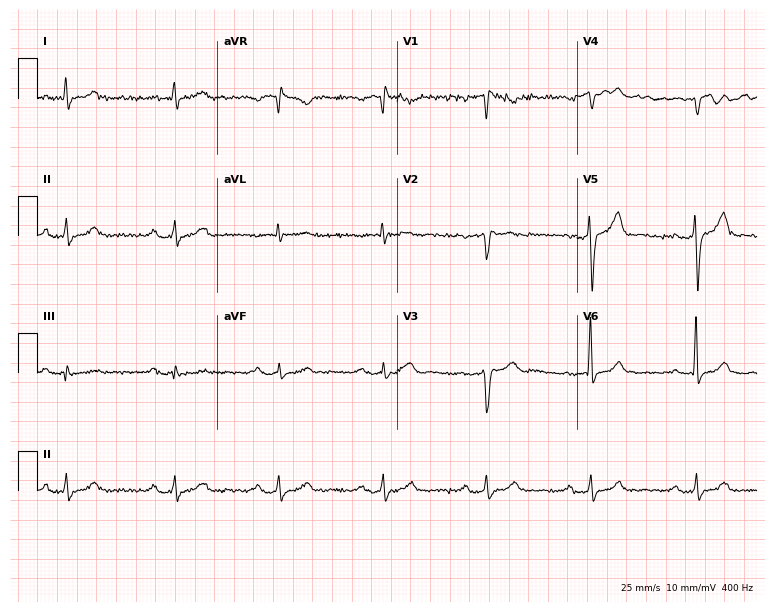
Electrocardiogram (7.3-second recording at 400 Hz), a man, 54 years old. Of the six screened findings (first-degree AV block, right bundle branch block, left bundle branch block, sinus bradycardia, atrial fibrillation, sinus tachycardia), none is recorded.